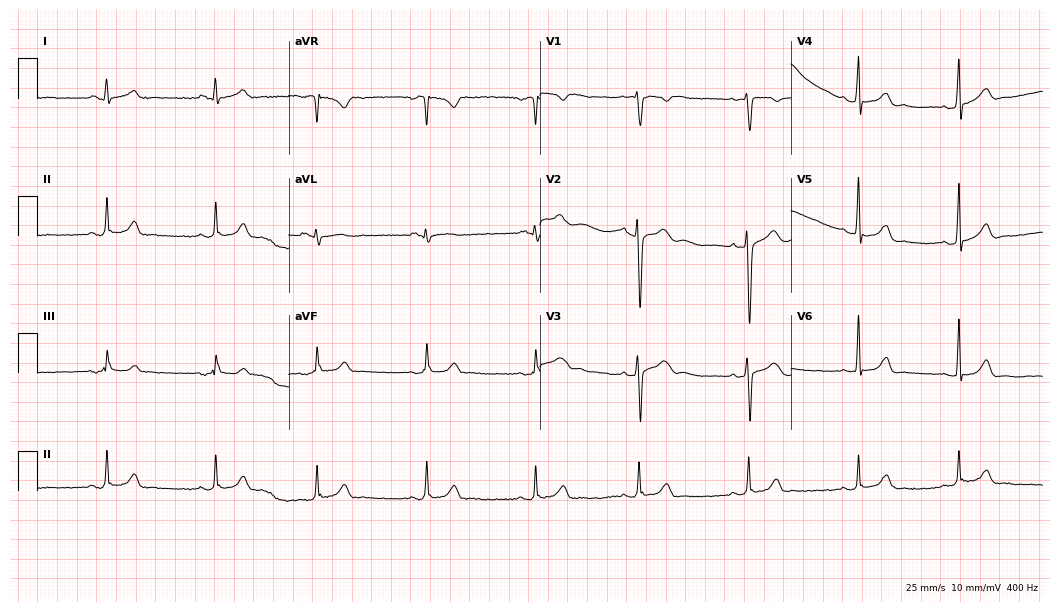
Standard 12-lead ECG recorded from a 24-year-old woman. Read as a normal ECG.